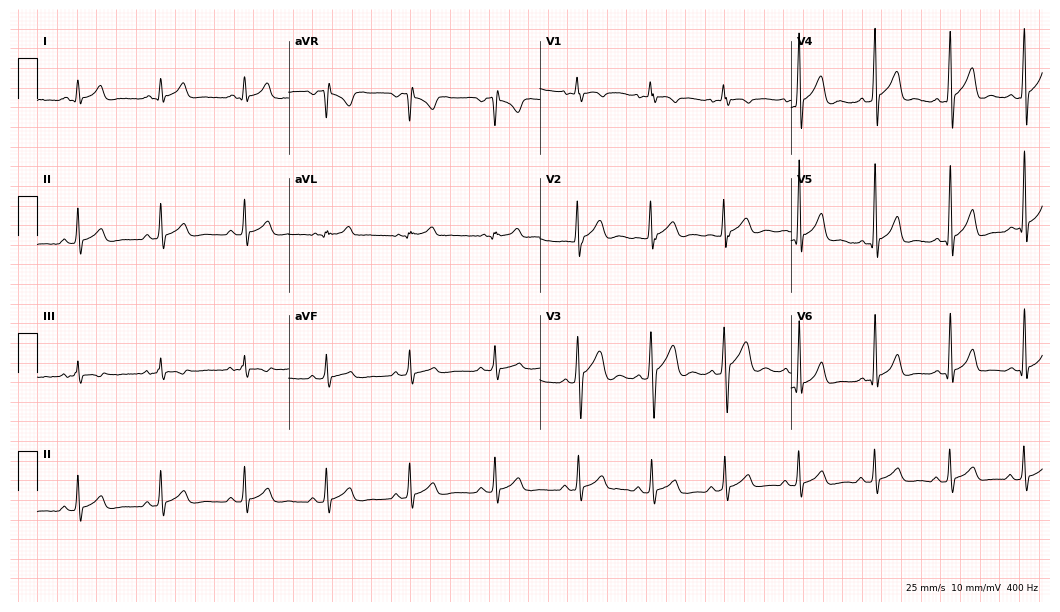
ECG (10.2-second recording at 400 Hz) — an 18-year-old male patient. Screened for six findings — first-degree AV block, right bundle branch block, left bundle branch block, sinus bradycardia, atrial fibrillation, sinus tachycardia — none is recorded. Findings outside these six are not listed.